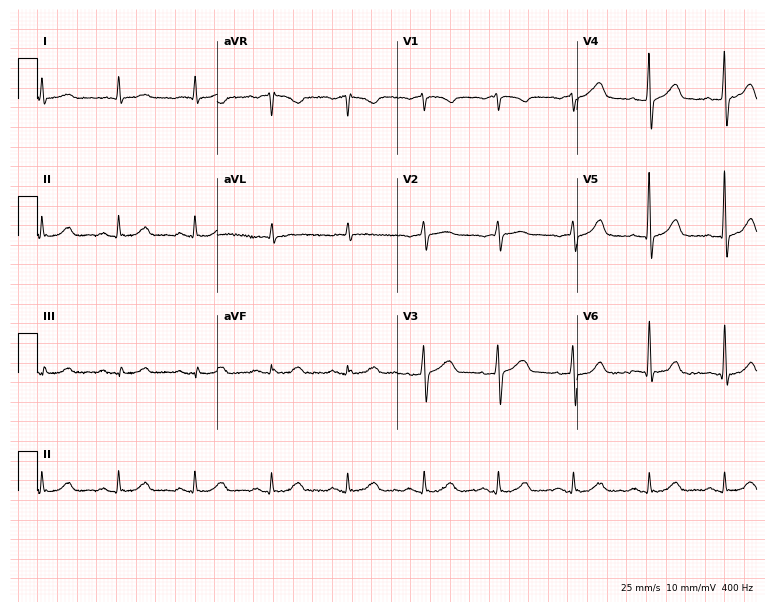
12-lead ECG (7.3-second recording at 400 Hz) from a male, 72 years old. Screened for six findings — first-degree AV block, right bundle branch block, left bundle branch block, sinus bradycardia, atrial fibrillation, sinus tachycardia — none is recorded.